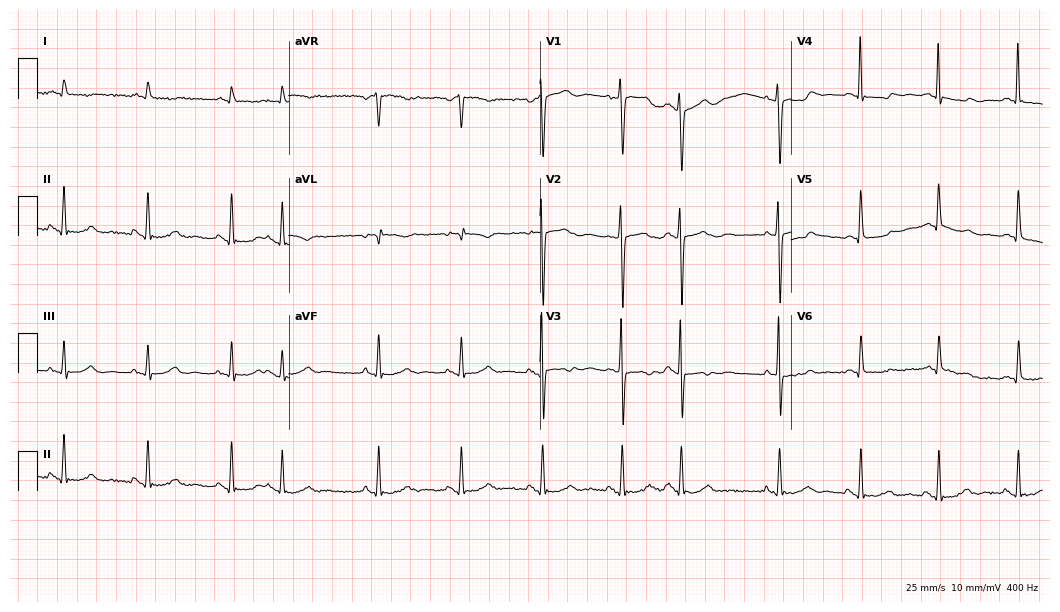
Resting 12-lead electrocardiogram. Patient: a male, 64 years old. None of these six findings is recorded: first-degree AV block, right bundle branch block, left bundle branch block, sinus bradycardia, atrial fibrillation, sinus tachycardia. Other findings, if any, are not listed.